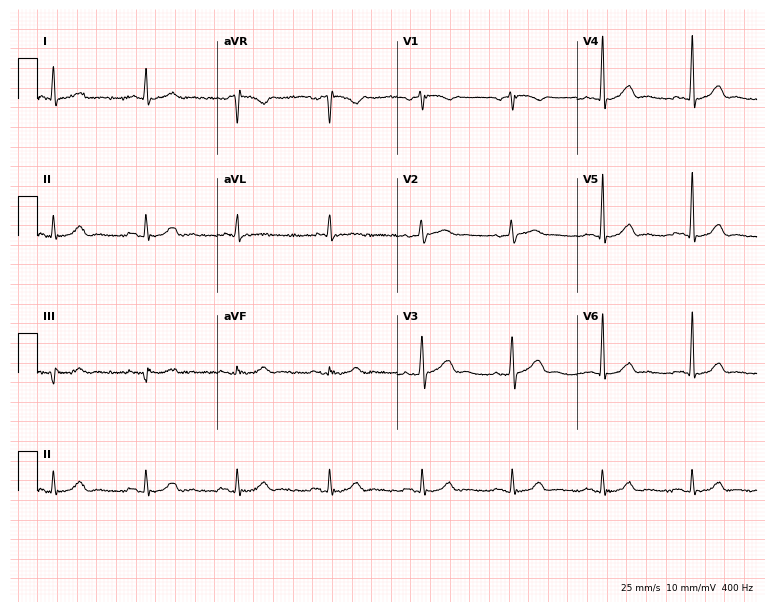
Standard 12-lead ECG recorded from a male patient, 59 years old. Read as a normal ECG.